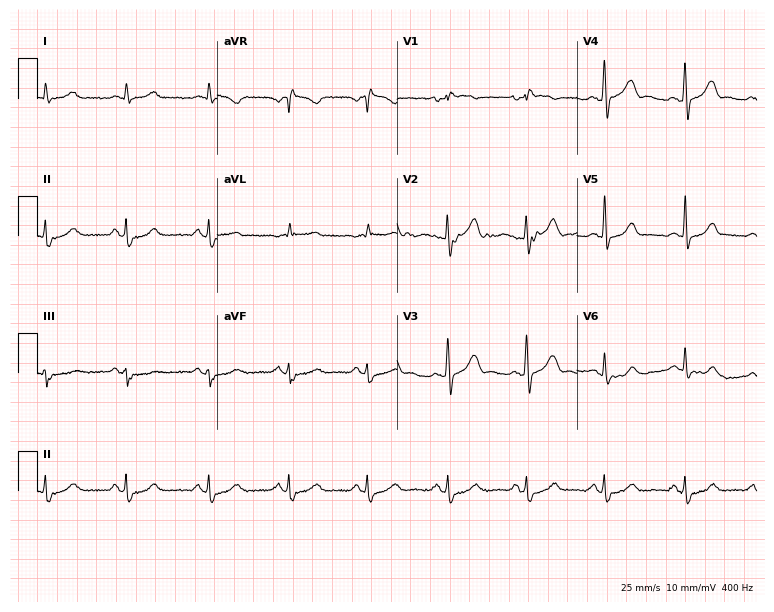
ECG — a 39-year-old female. Screened for six findings — first-degree AV block, right bundle branch block, left bundle branch block, sinus bradycardia, atrial fibrillation, sinus tachycardia — none is recorded.